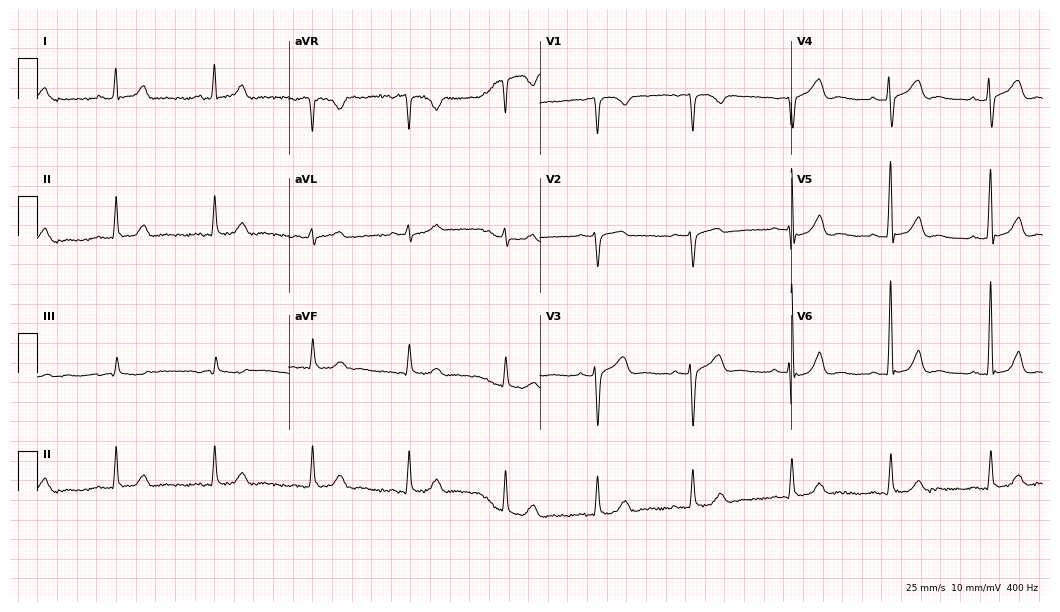
Resting 12-lead electrocardiogram (10.2-second recording at 400 Hz). Patient: a male, 55 years old. Read as a normal ECG.